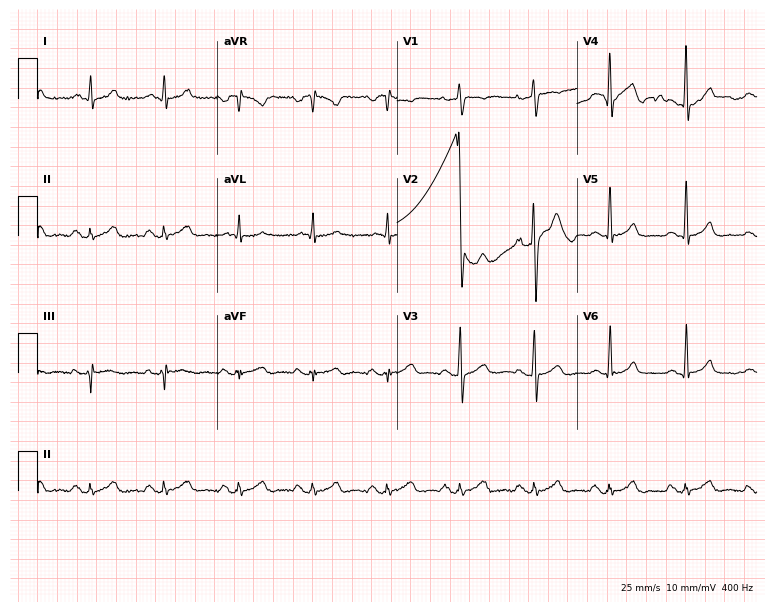
Standard 12-lead ECG recorded from a man, 38 years old (7.3-second recording at 400 Hz). Read as a normal ECG.